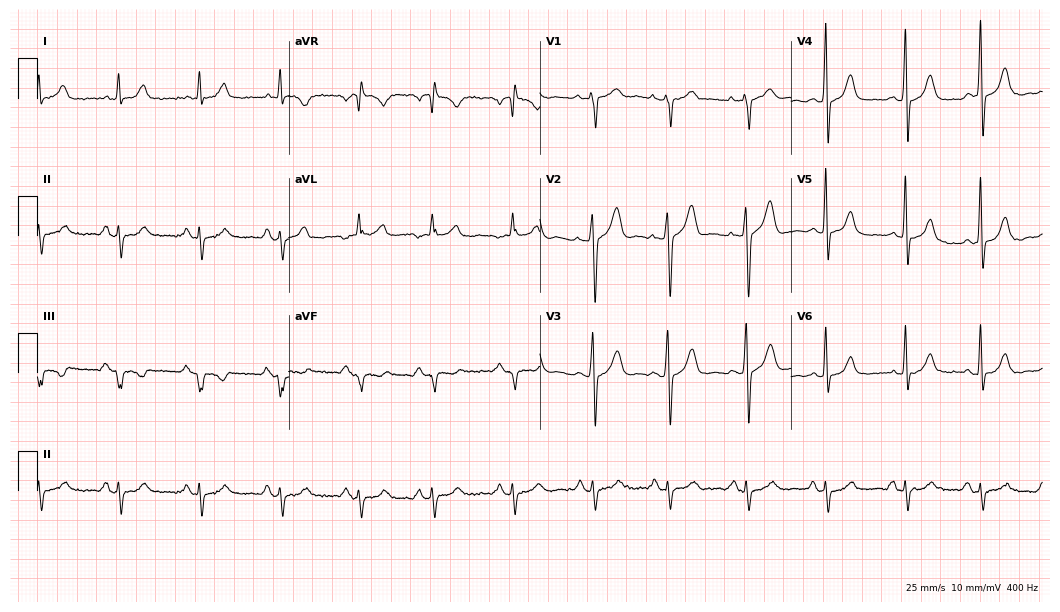
Resting 12-lead electrocardiogram (10.2-second recording at 400 Hz). Patient: a male, 66 years old. None of these six findings is recorded: first-degree AV block, right bundle branch block (RBBB), left bundle branch block (LBBB), sinus bradycardia, atrial fibrillation (AF), sinus tachycardia.